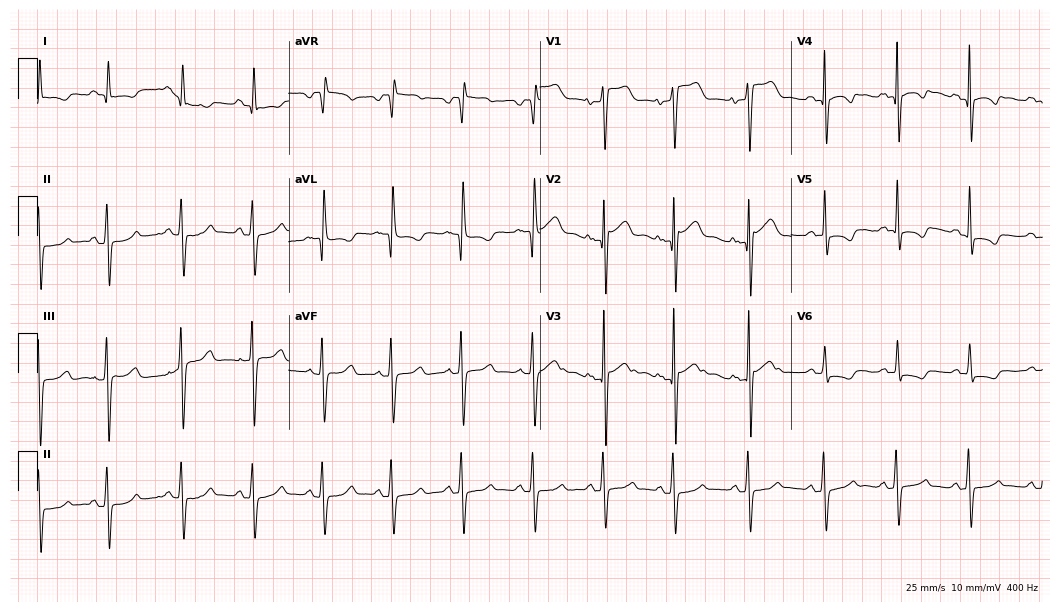
Standard 12-lead ECG recorded from a 24-year-old man (10.2-second recording at 400 Hz). None of these six findings is recorded: first-degree AV block, right bundle branch block, left bundle branch block, sinus bradycardia, atrial fibrillation, sinus tachycardia. Findings outside these six are not listed.